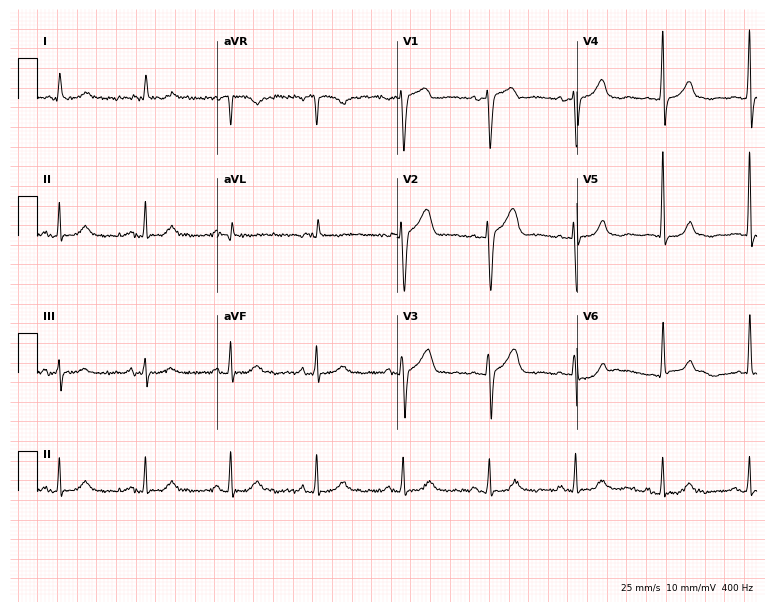
12-lead ECG from an 80-year-old man. No first-degree AV block, right bundle branch block, left bundle branch block, sinus bradycardia, atrial fibrillation or sinus tachycardia recorded for this tracing.